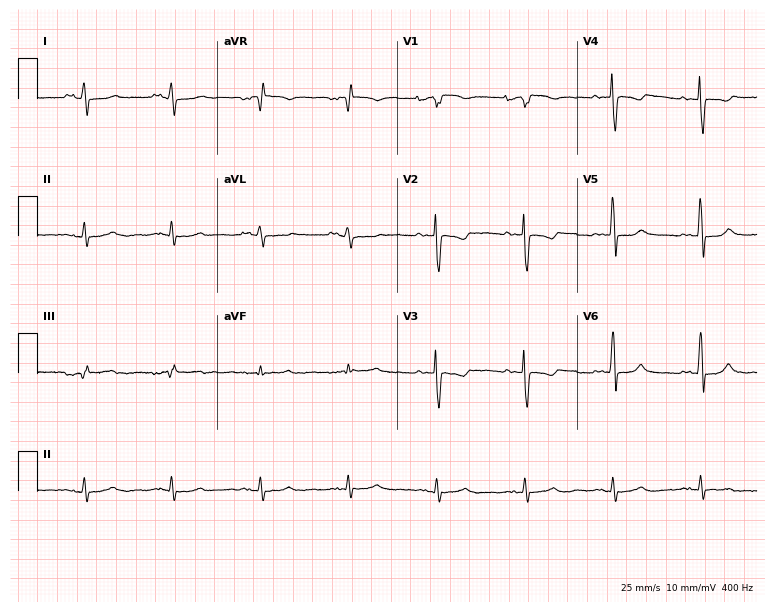
12-lead ECG from a 24-year-old female. Recorded interpretation: within normal limits.